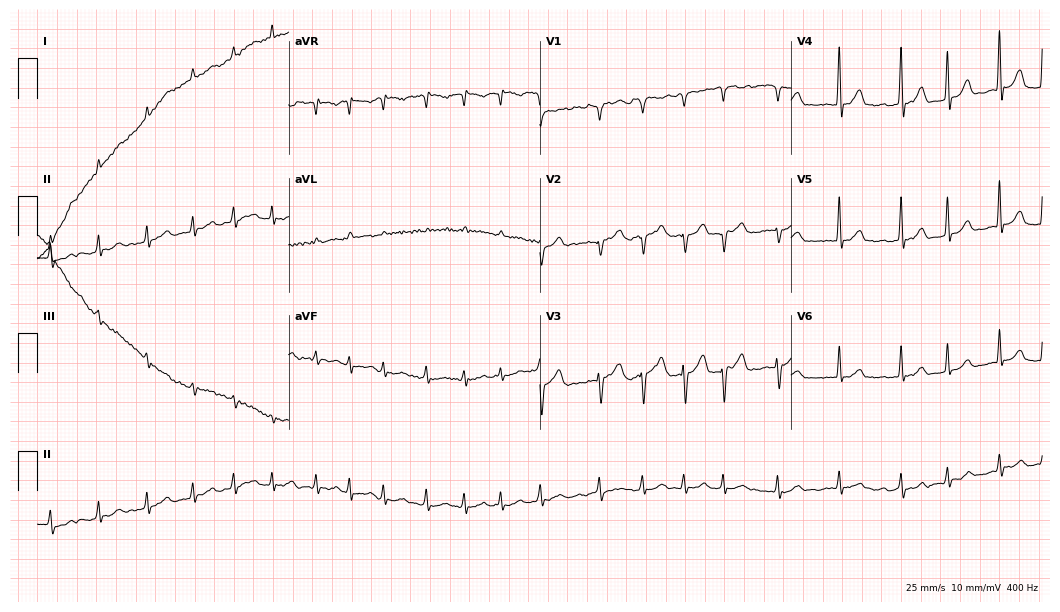
Standard 12-lead ECG recorded from a 78-year-old man. The tracing shows atrial fibrillation, sinus tachycardia (a sinus rate of 100 beats per minute or more).